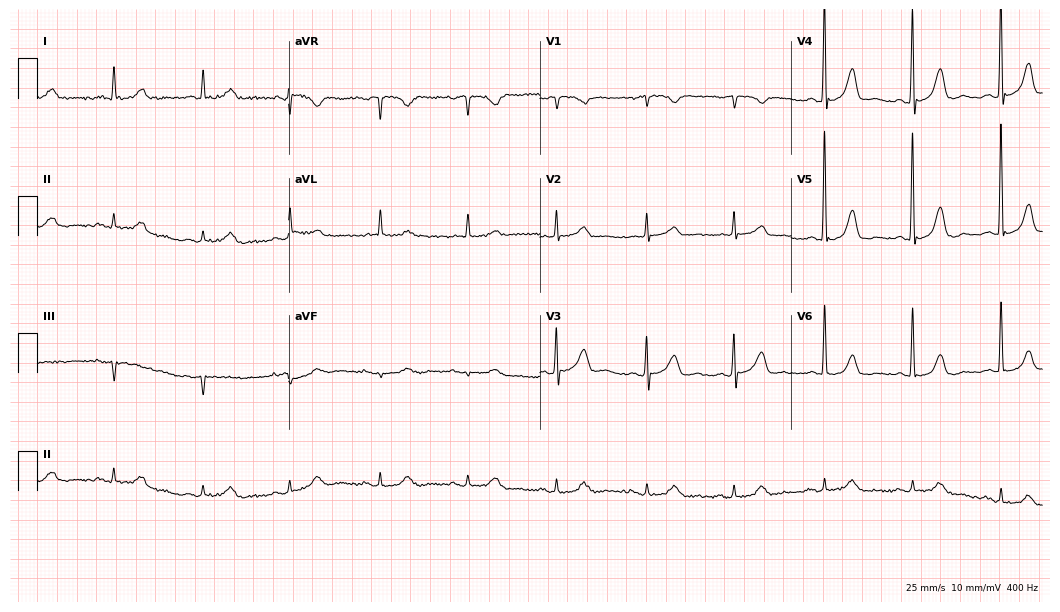
ECG (10.2-second recording at 400 Hz) — a 77-year-old female patient. Screened for six findings — first-degree AV block, right bundle branch block (RBBB), left bundle branch block (LBBB), sinus bradycardia, atrial fibrillation (AF), sinus tachycardia — none is recorded. Findings outside these six are not listed.